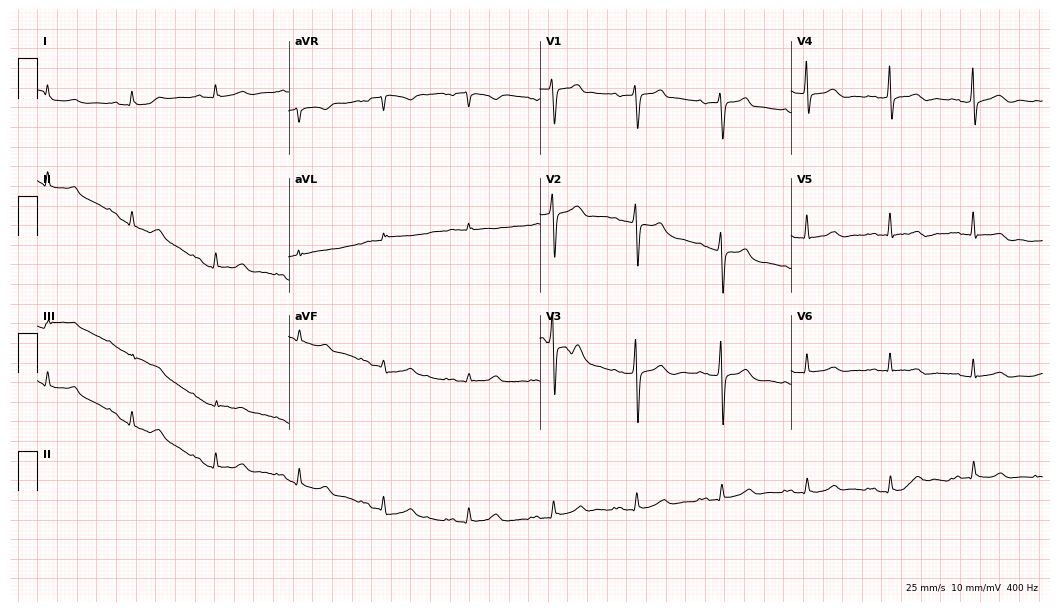
Resting 12-lead electrocardiogram. Patient: a man, 78 years old. None of these six findings is recorded: first-degree AV block, right bundle branch block (RBBB), left bundle branch block (LBBB), sinus bradycardia, atrial fibrillation (AF), sinus tachycardia.